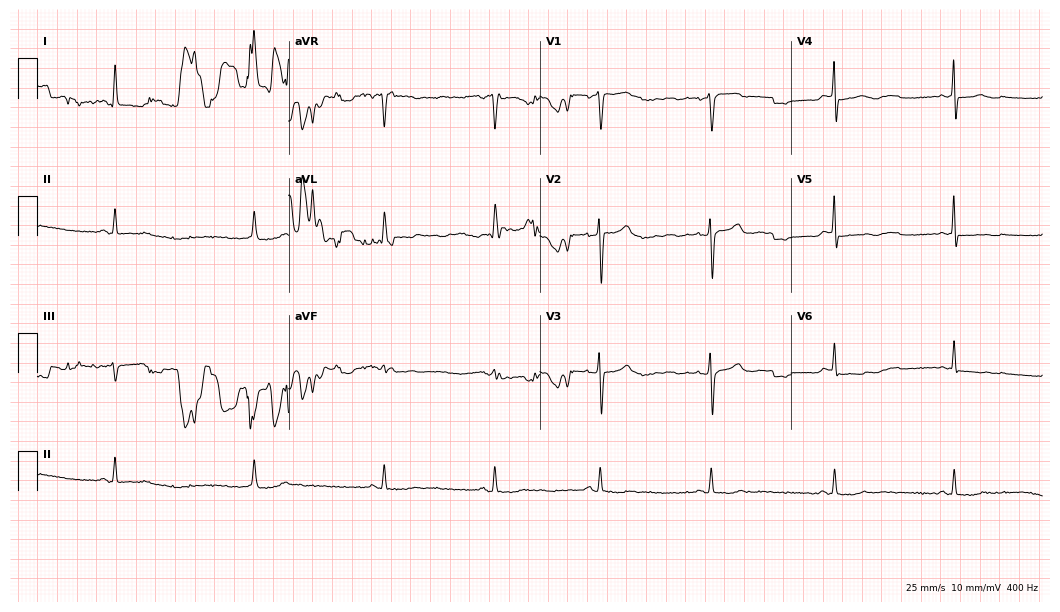
12-lead ECG from an 81-year-old female patient. Screened for six findings — first-degree AV block, right bundle branch block (RBBB), left bundle branch block (LBBB), sinus bradycardia, atrial fibrillation (AF), sinus tachycardia — none is recorded.